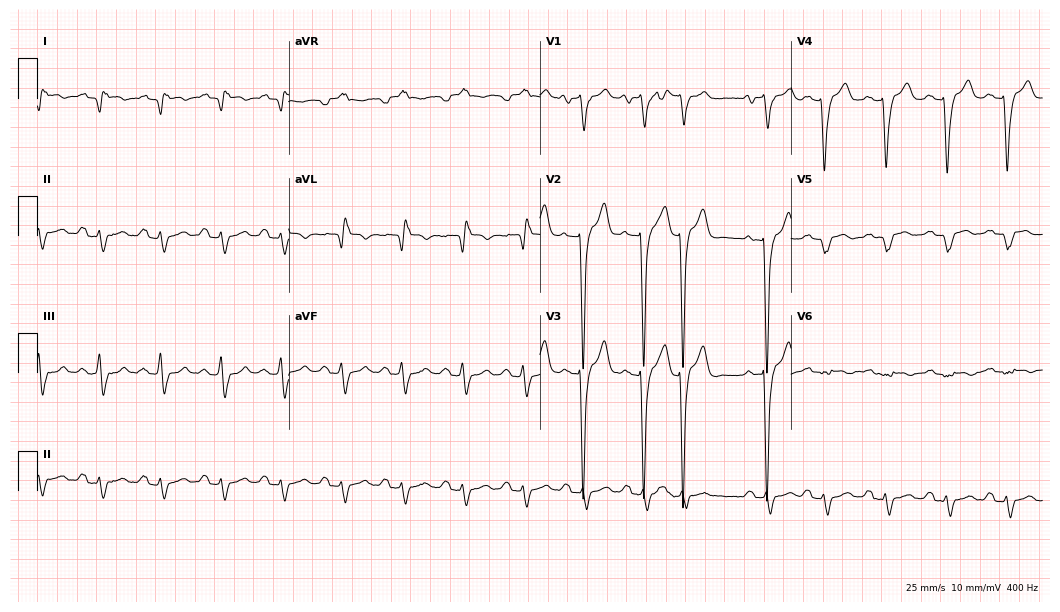
Electrocardiogram (10.2-second recording at 400 Hz), a man, 54 years old. Of the six screened findings (first-degree AV block, right bundle branch block, left bundle branch block, sinus bradycardia, atrial fibrillation, sinus tachycardia), none is recorded.